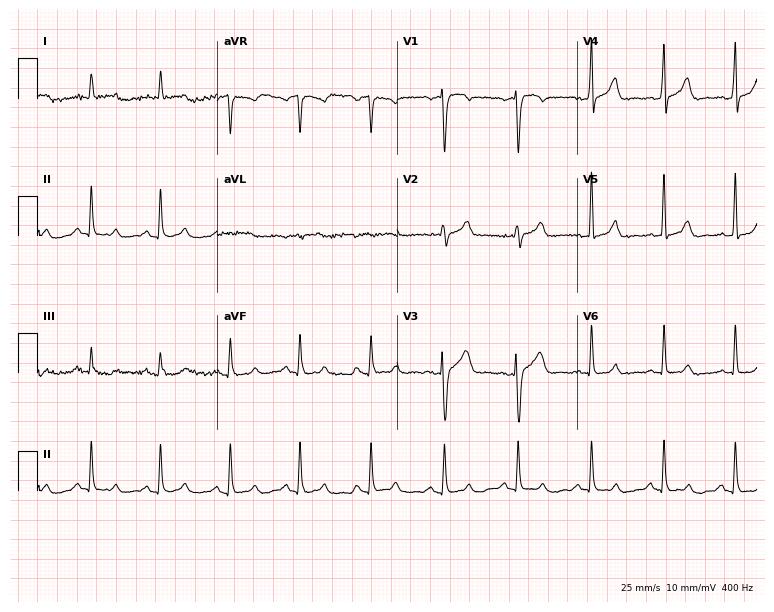
ECG — a 55-year-old man. Screened for six findings — first-degree AV block, right bundle branch block, left bundle branch block, sinus bradycardia, atrial fibrillation, sinus tachycardia — none is recorded.